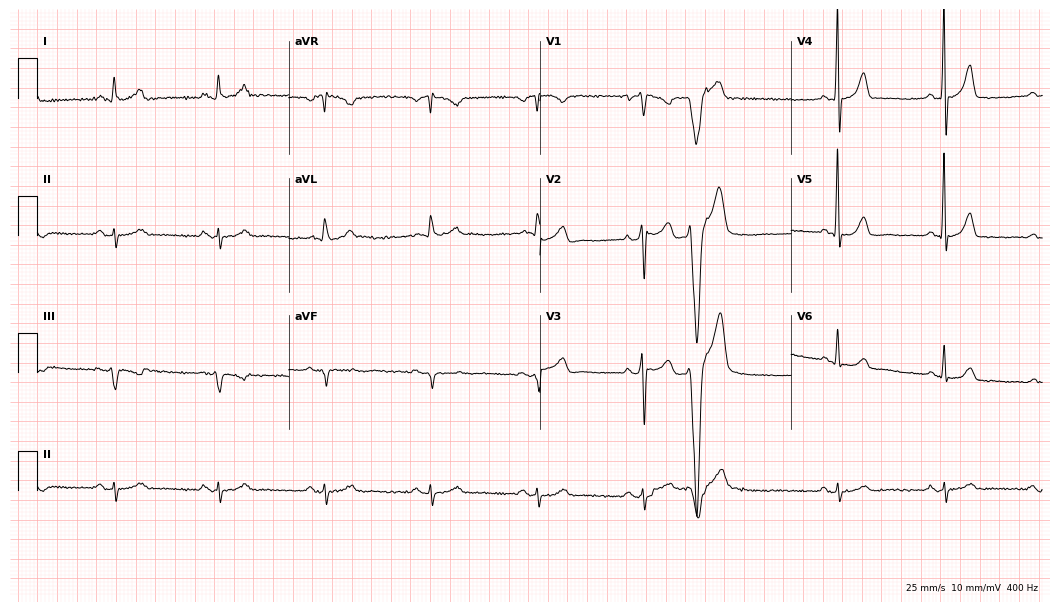
12-lead ECG (10.2-second recording at 400 Hz) from a male, 78 years old. Screened for six findings — first-degree AV block, right bundle branch block, left bundle branch block, sinus bradycardia, atrial fibrillation, sinus tachycardia — none is recorded.